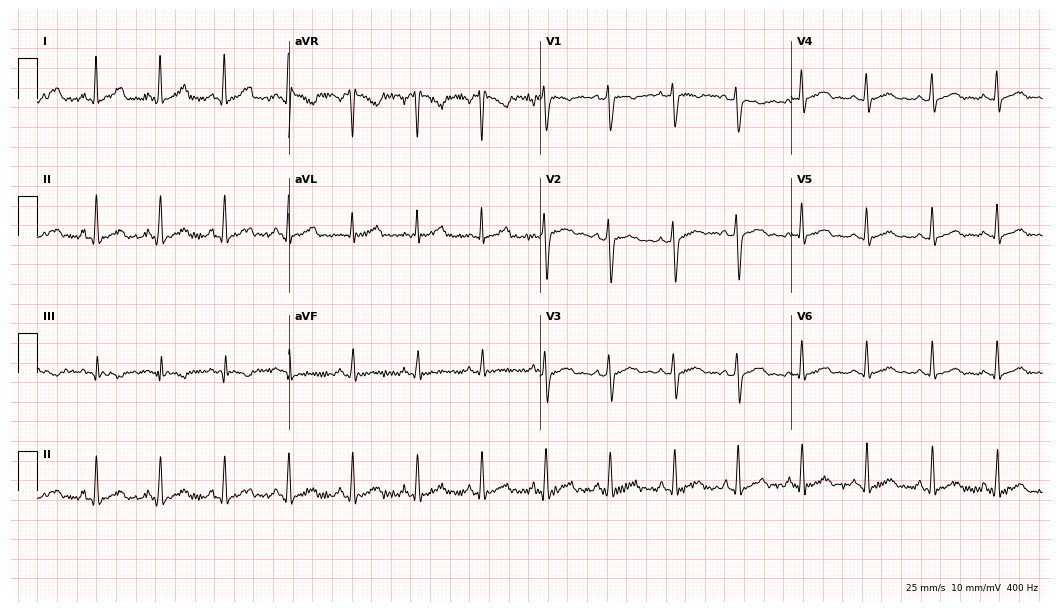
12-lead ECG from a female patient, 25 years old. Labelled as a normal ECG.